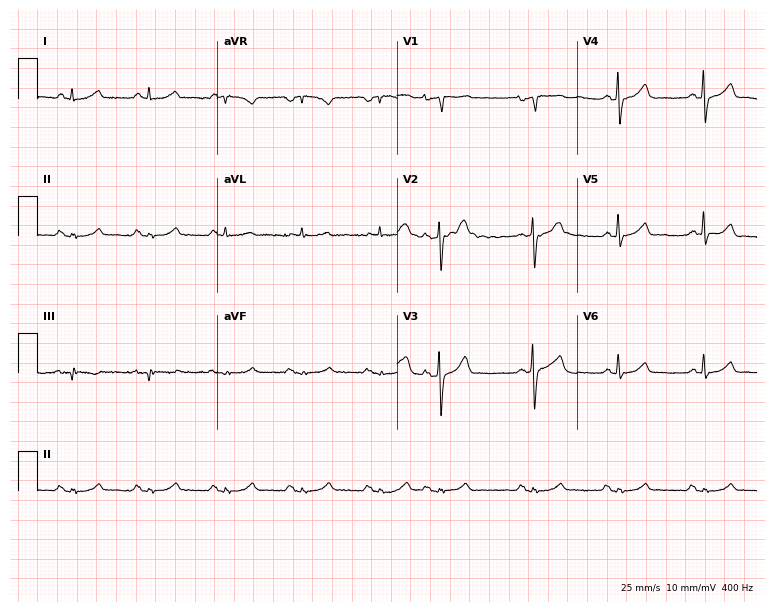
12-lead ECG (7.3-second recording at 400 Hz) from a male, 77 years old. Screened for six findings — first-degree AV block, right bundle branch block, left bundle branch block, sinus bradycardia, atrial fibrillation, sinus tachycardia — none is recorded.